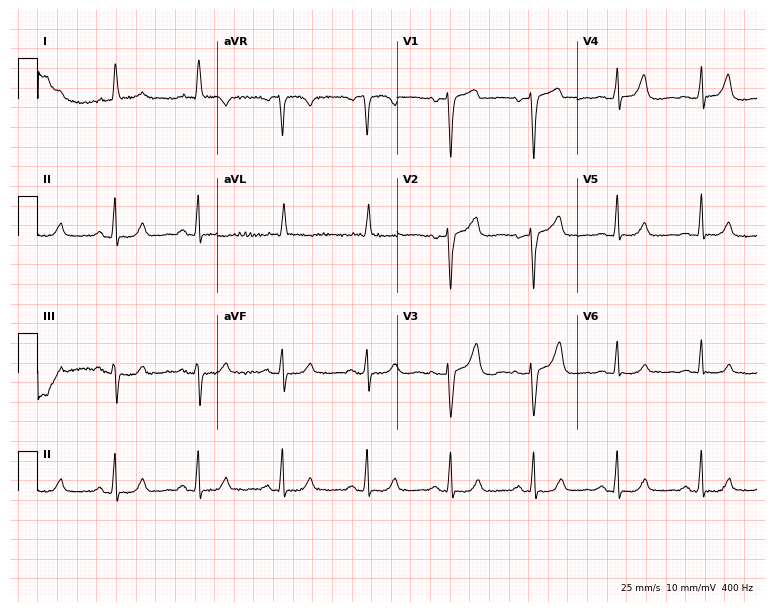
ECG (7.3-second recording at 400 Hz) — a 62-year-old female patient. Labelled as a normal ECG.